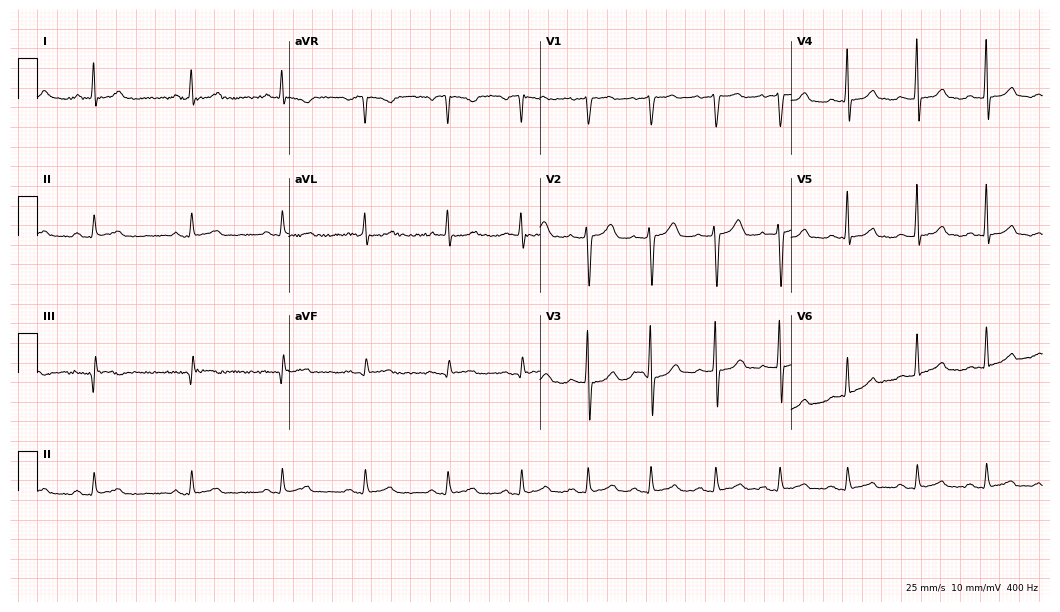
12-lead ECG from a male patient, 50 years old. Recorded interpretation: within normal limits.